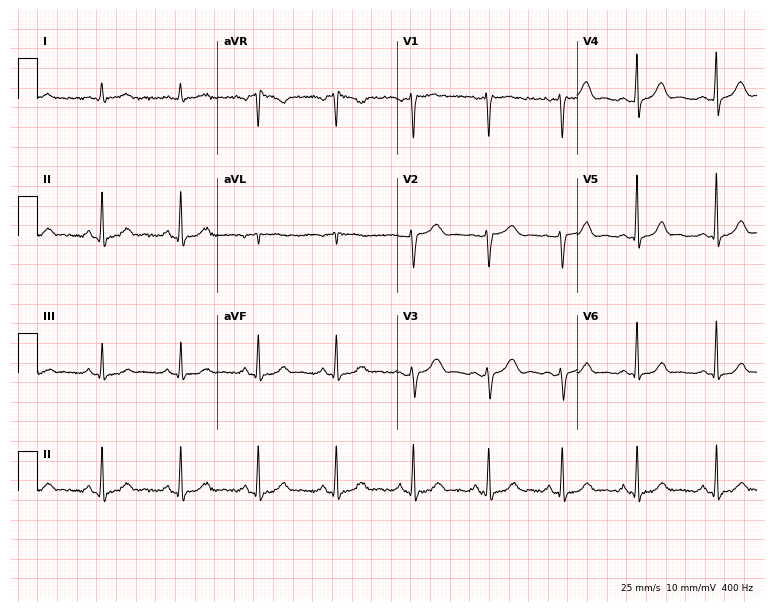
Resting 12-lead electrocardiogram. Patient: a 39-year-old woman. Read as a normal ECG.